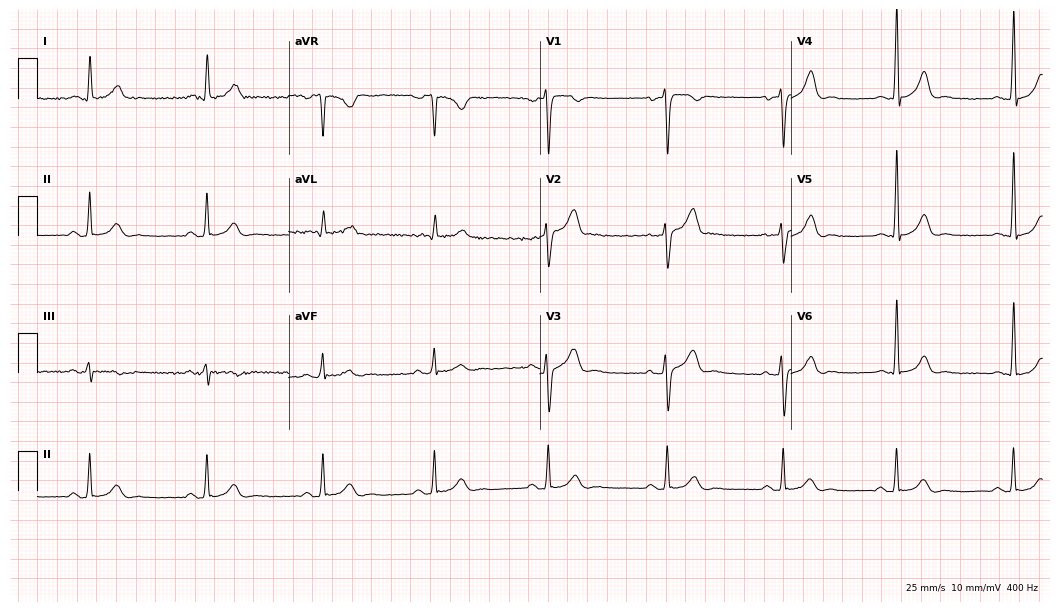
ECG (10.2-second recording at 400 Hz) — a 42-year-old man. Labelled as a normal ECG.